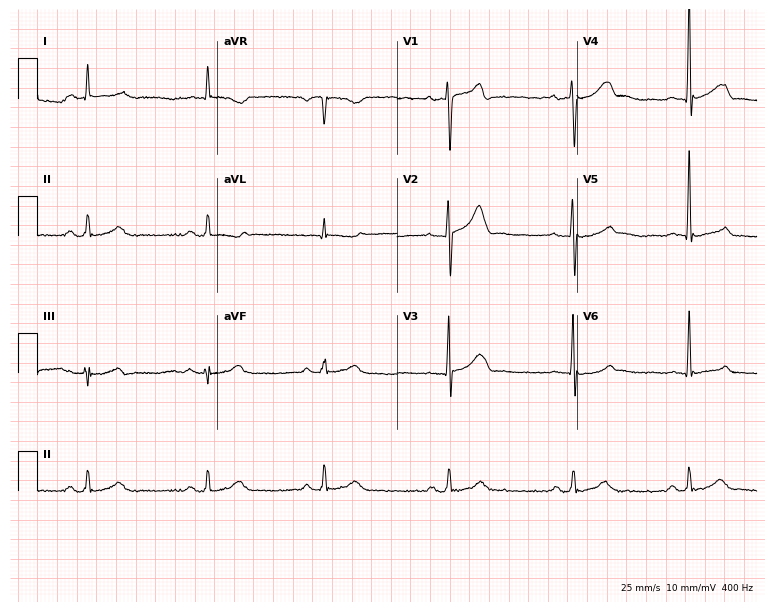
Resting 12-lead electrocardiogram. Patient: a male, 57 years old. The tracing shows sinus bradycardia (a sinus rate of 50 beats per minute or less).